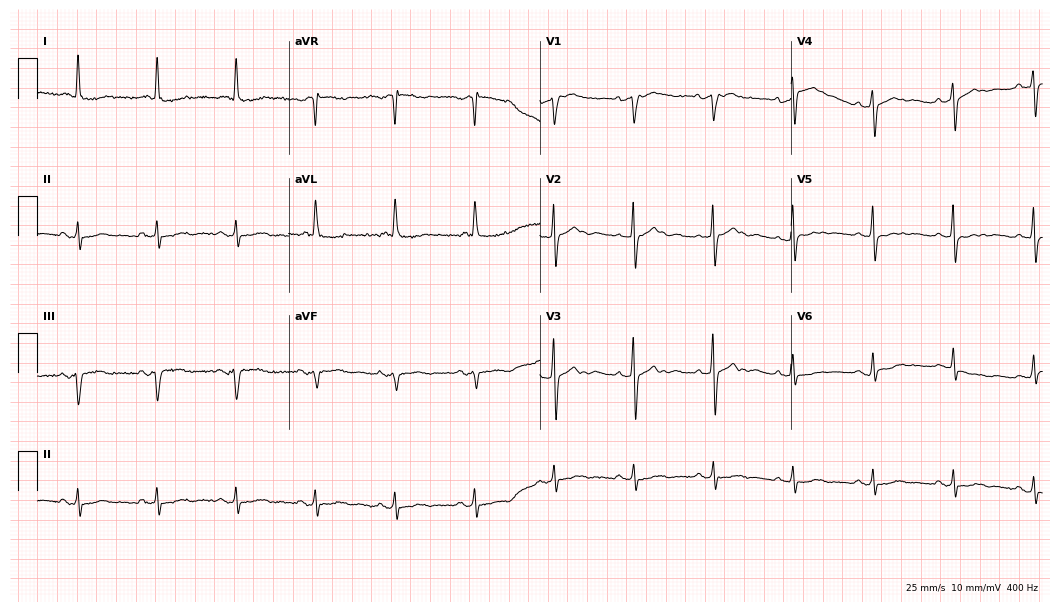
Standard 12-lead ECG recorded from an 83-year-old woman. None of these six findings is recorded: first-degree AV block, right bundle branch block (RBBB), left bundle branch block (LBBB), sinus bradycardia, atrial fibrillation (AF), sinus tachycardia. Findings outside these six are not listed.